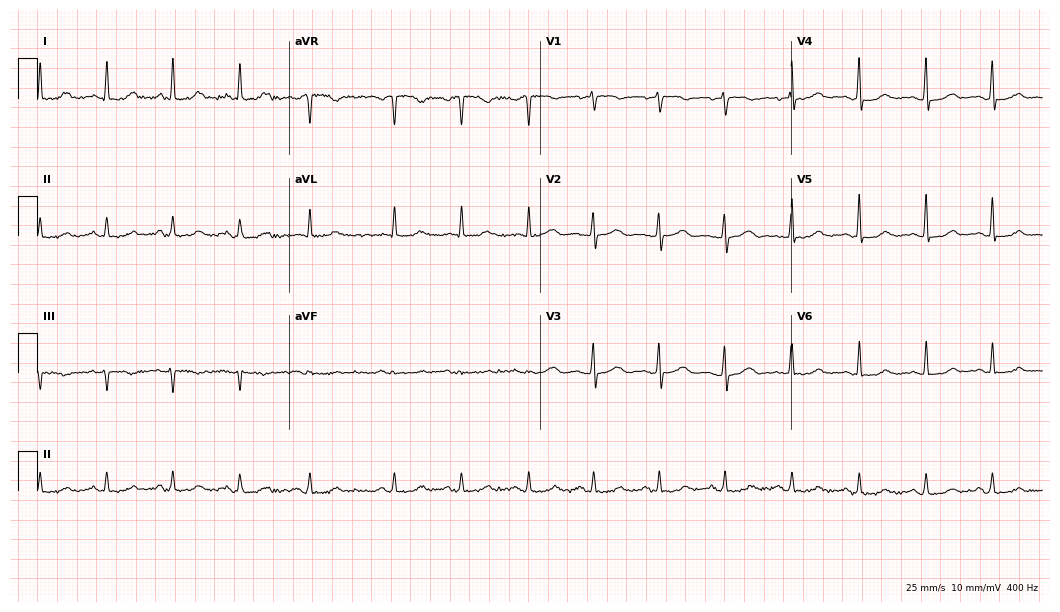
12-lead ECG from a 47-year-old female patient. Screened for six findings — first-degree AV block, right bundle branch block, left bundle branch block, sinus bradycardia, atrial fibrillation, sinus tachycardia — none is recorded. Findings outside these six are not listed.